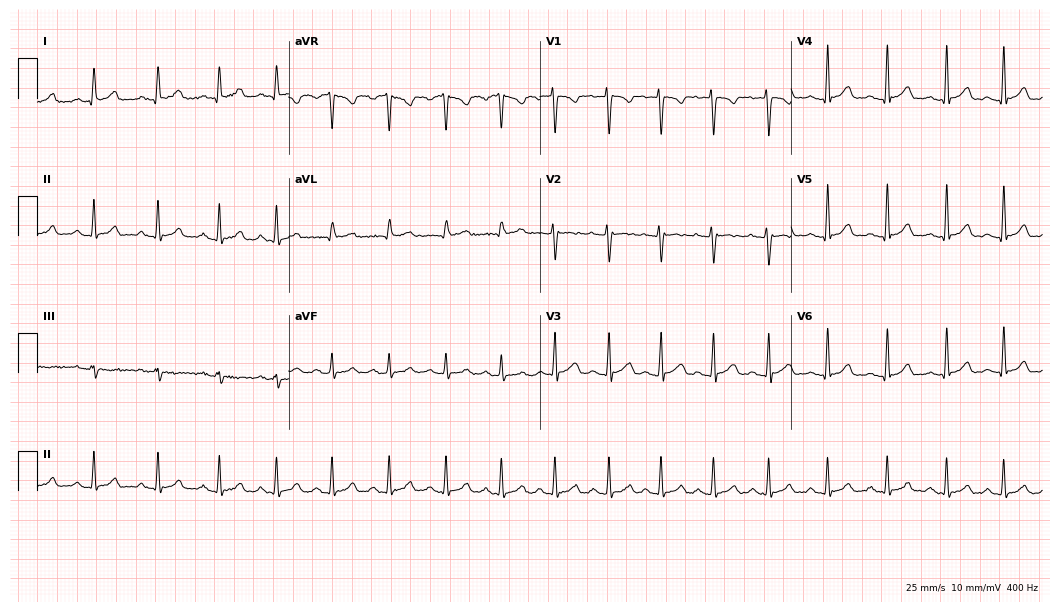
Electrocardiogram, a 26-year-old female. Overall reading on record: normal ECG.